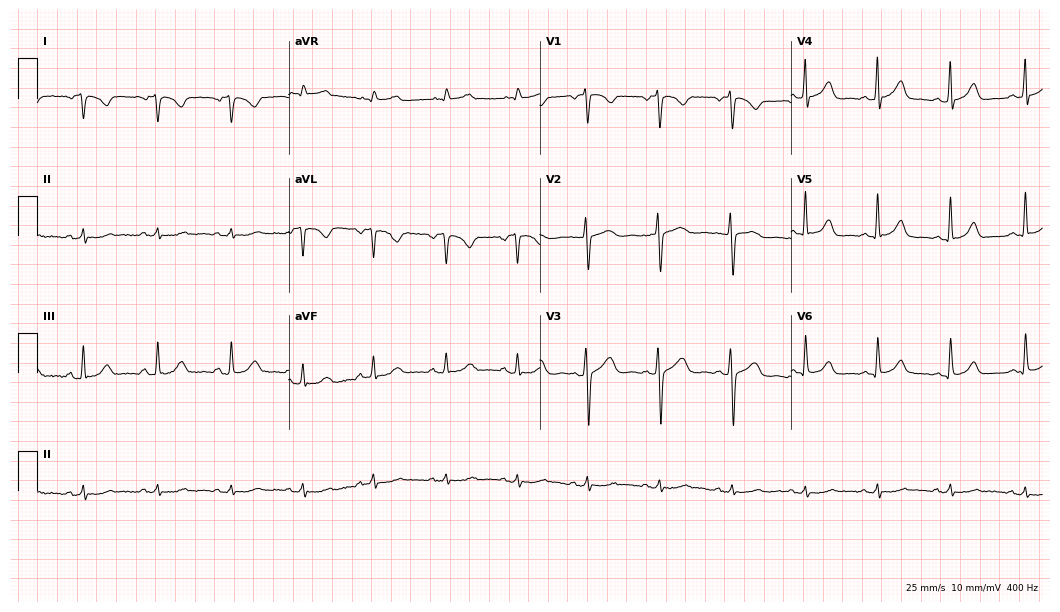
12-lead ECG from a woman, 26 years old. No first-degree AV block, right bundle branch block (RBBB), left bundle branch block (LBBB), sinus bradycardia, atrial fibrillation (AF) or sinus tachycardia recorded for this tracing. Only these six findings were labelled.